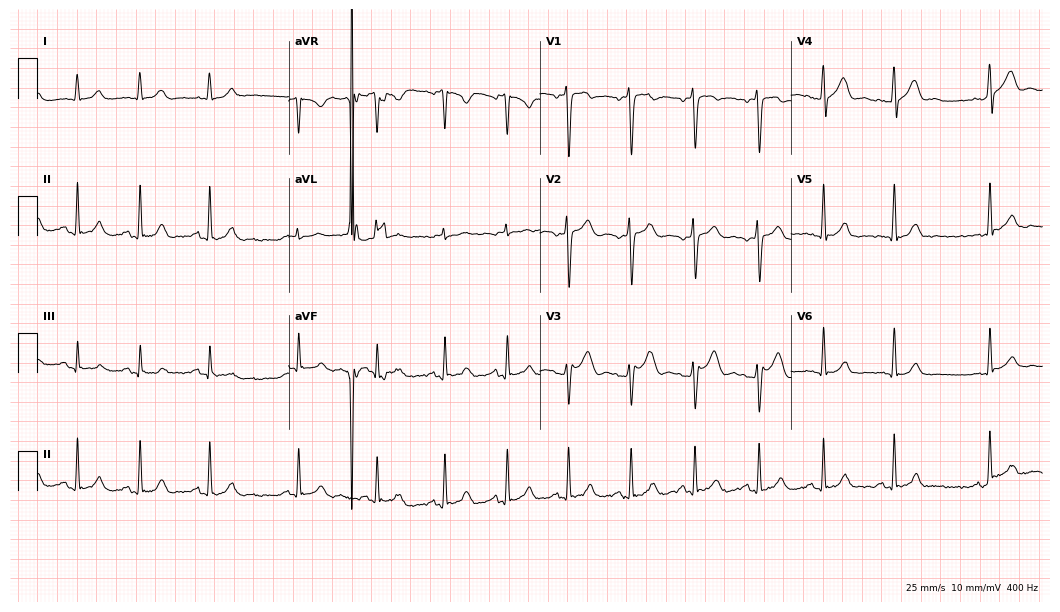
Electrocardiogram, a 23-year-old male patient. Of the six screened findings (first-degree AV block, right bundle branch block (RBBB), left bundle branch block (LBBB), sinus bradycardia, atrial fibrillation (AF), sinus tachycardia), none is recorded. Only these six findings were labelled.